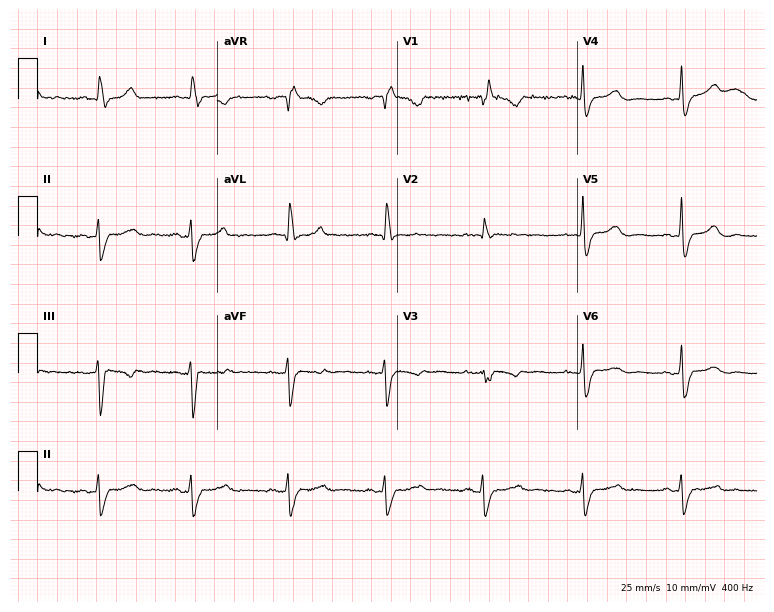
ECG (7.3-second recording at 400 Hz) — a female, 58 years old. Findings include right bundle branch block.